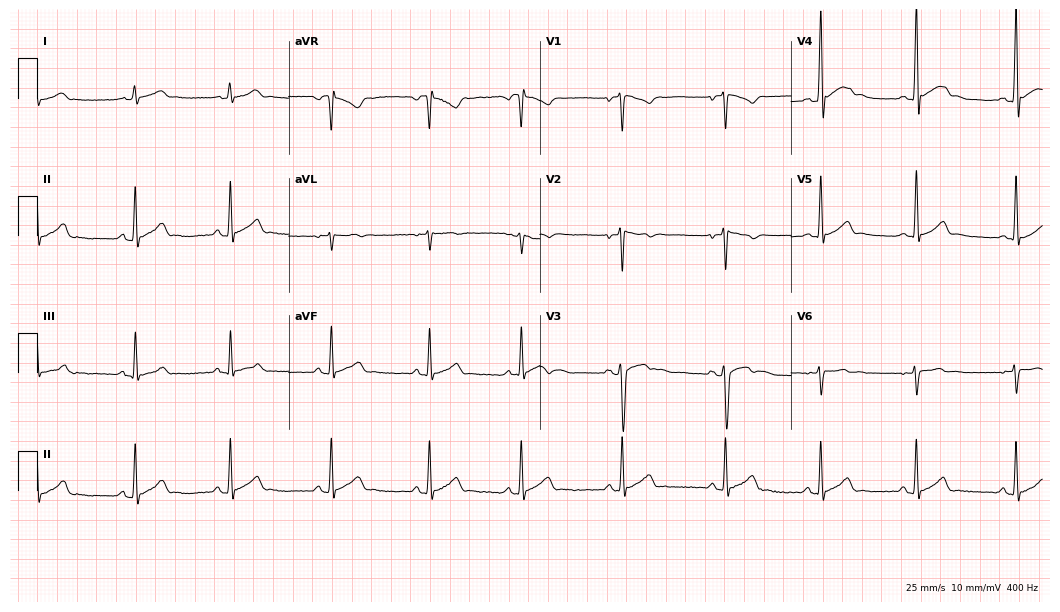
12-lead ECG from a 17-year-old man. Screened for six findings — first-degree AV block, right bundle branch block, left bundle branch block, sinus bradycardia, atrial fibrillation, sinus tachycardia — none is recorded.